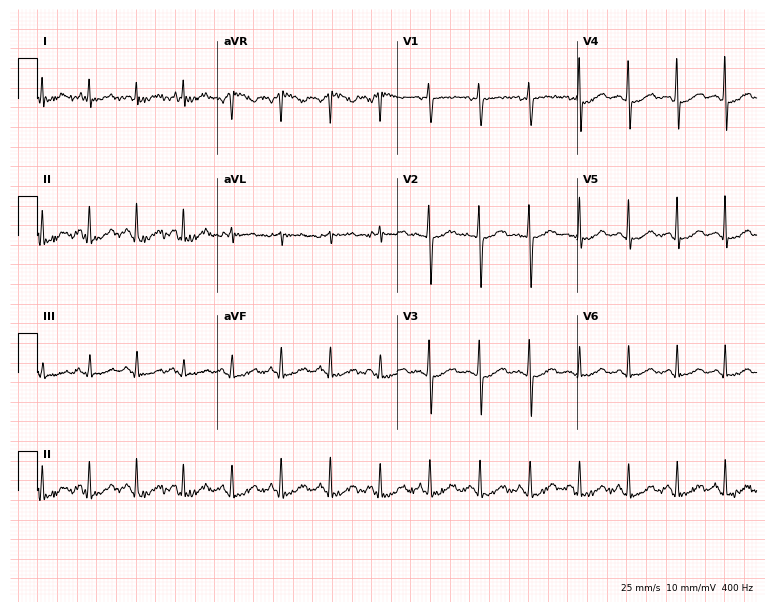
Electrocardiogram (7.3-second recording at 400 Hz), a 41-year-old woman. Interpretation includes sinus tachycardia (a sinus rate of 100 beats per minute or more).